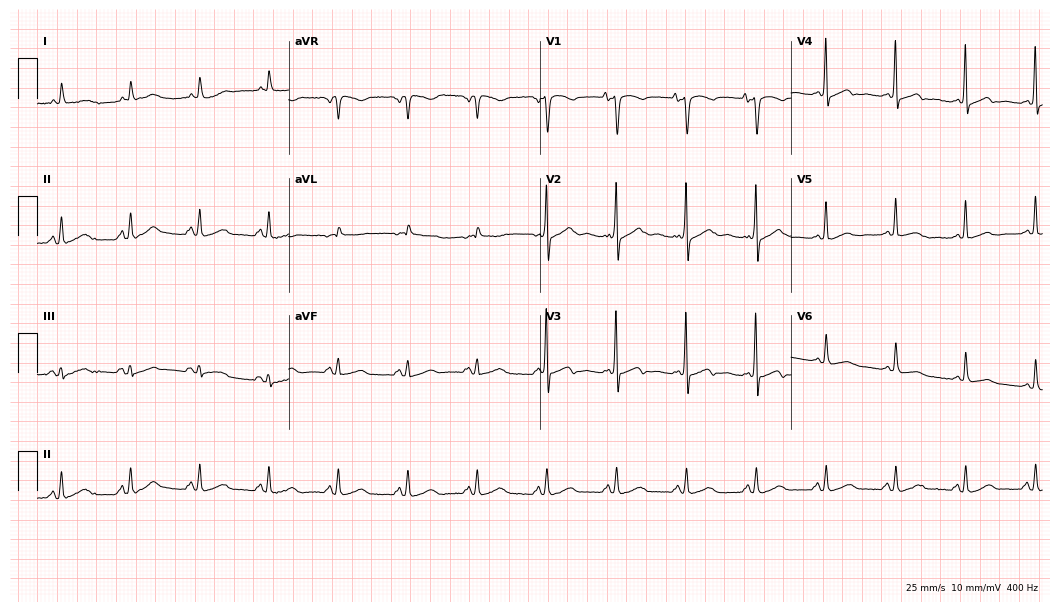
Standard 12-lead ECG recorded from a female, 83 years old (10.2-second recording at 400 Hz). None of these six findings is recorded: first-degree AV block, right bundle branch block (RBBB), left bundle branch block (LBBB), sinus bradycardia, atrial fibrillation (AF), sinus tachycardia. Findings outside these six are not listed.